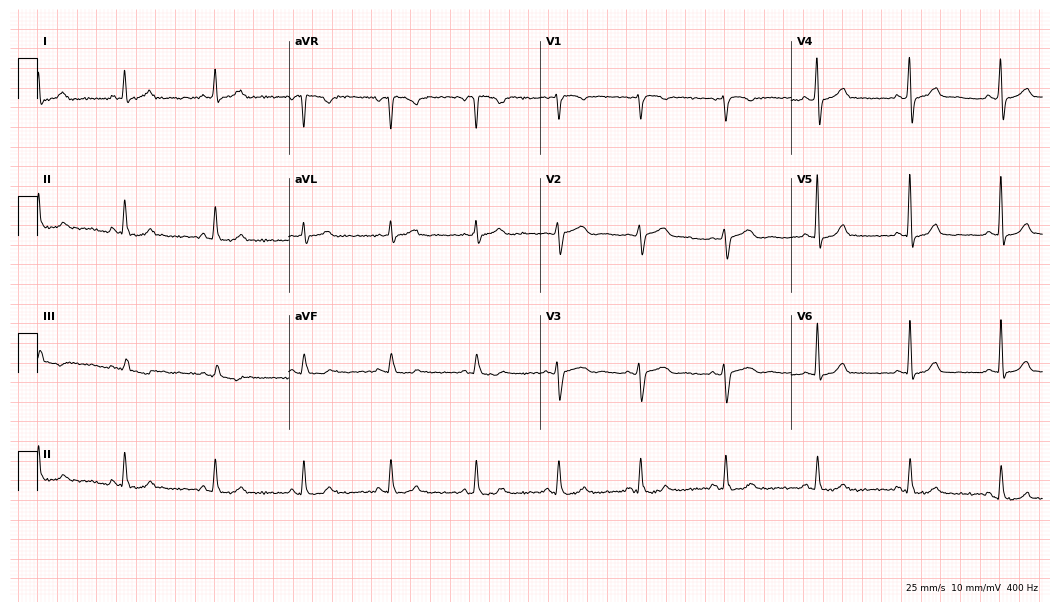
ECG — a man, 68 years old. Labelled as a normal ECG.